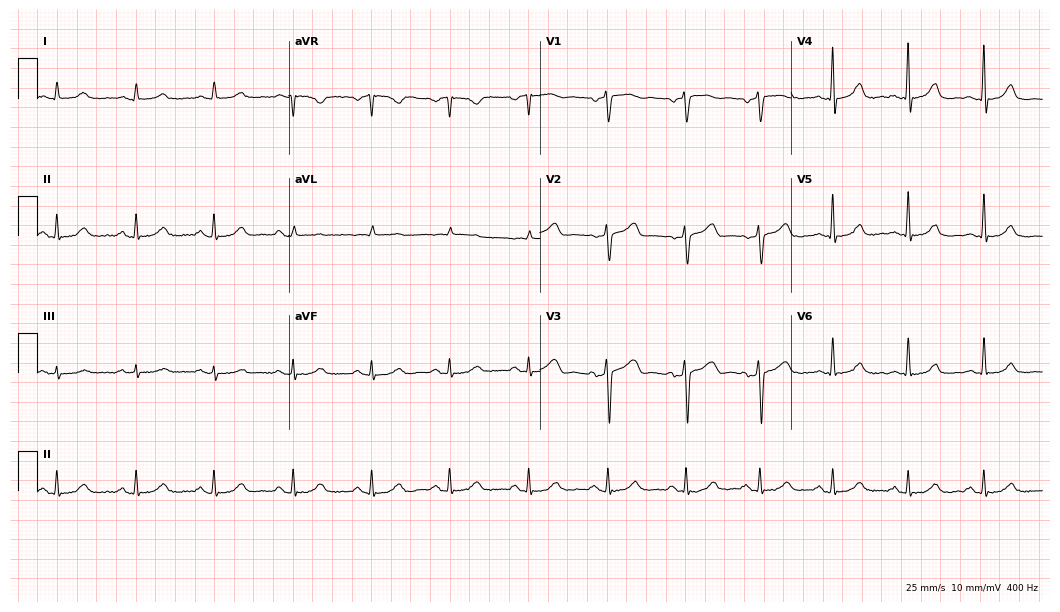
Electrocardiogram, a male, 84 years old. Overall reading on record: normal ECG.